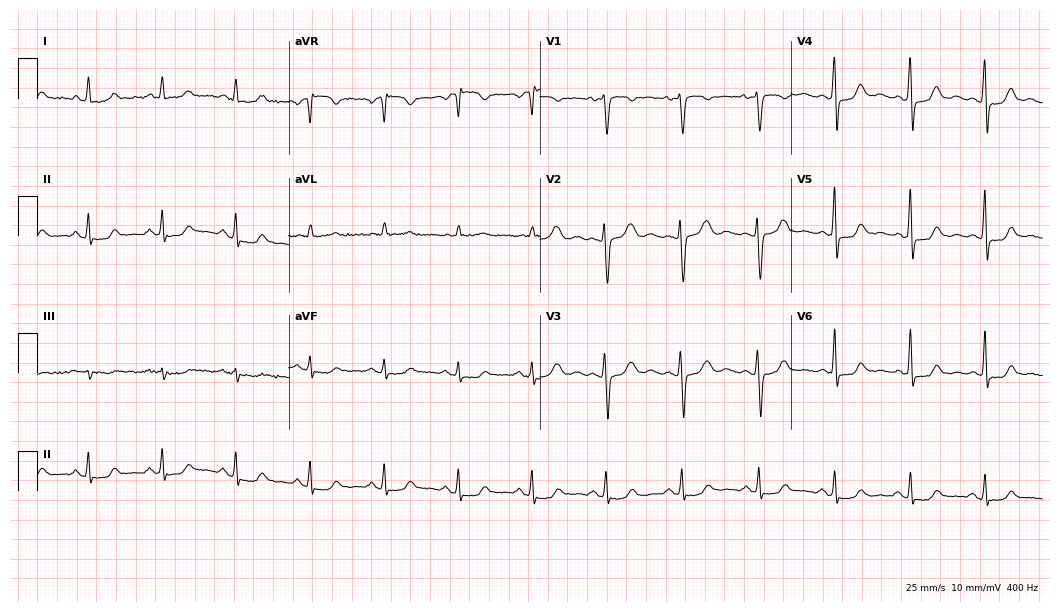
12-lead ECG from a 49-year-old woman. Recorded interpretation: within normal limits.